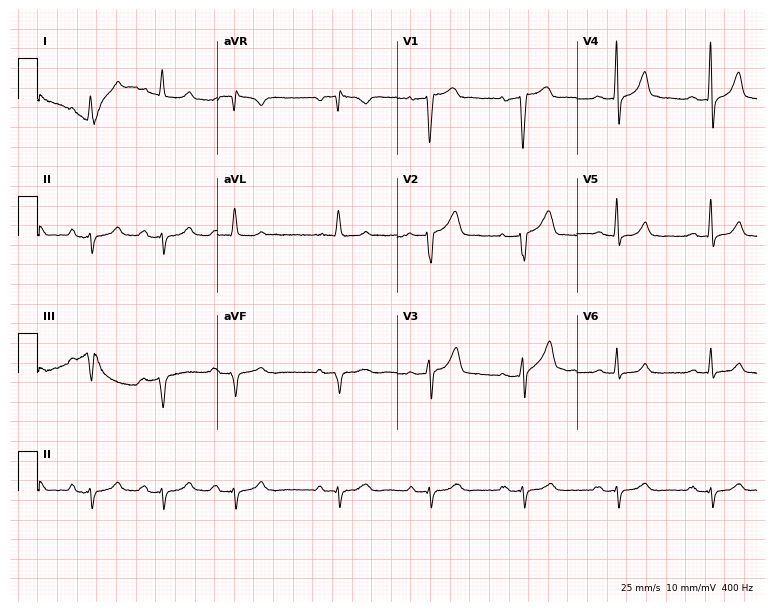
Standard 12-lead ECG recorded from a male patient, 65 years old (7.3-second recording at 400 Hz). Read as a normal ECG.